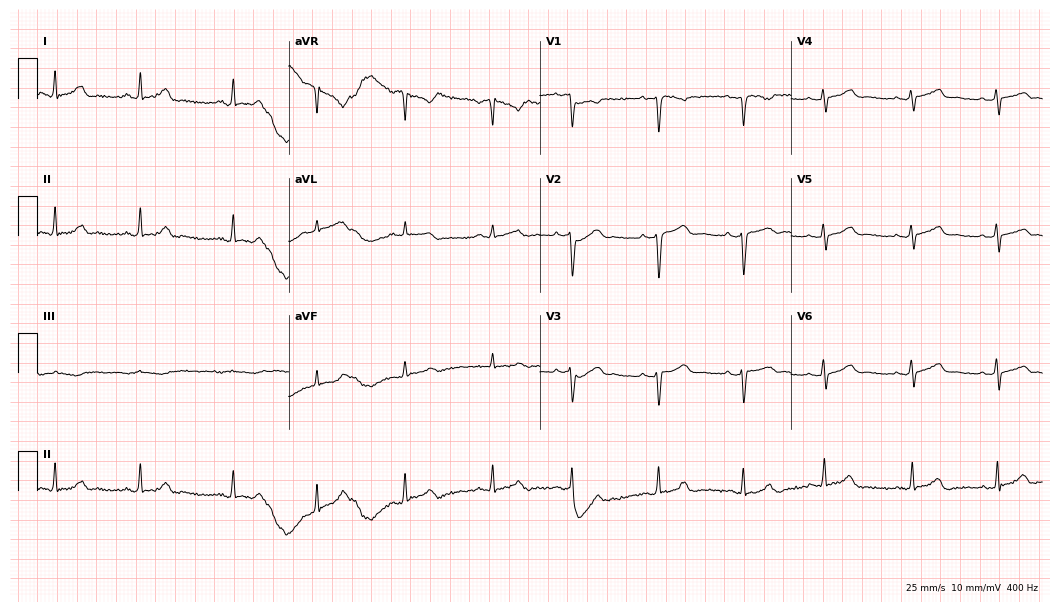
Electrocardiogram, a 32-year-old woman. Overall reading on record: normal ECG.